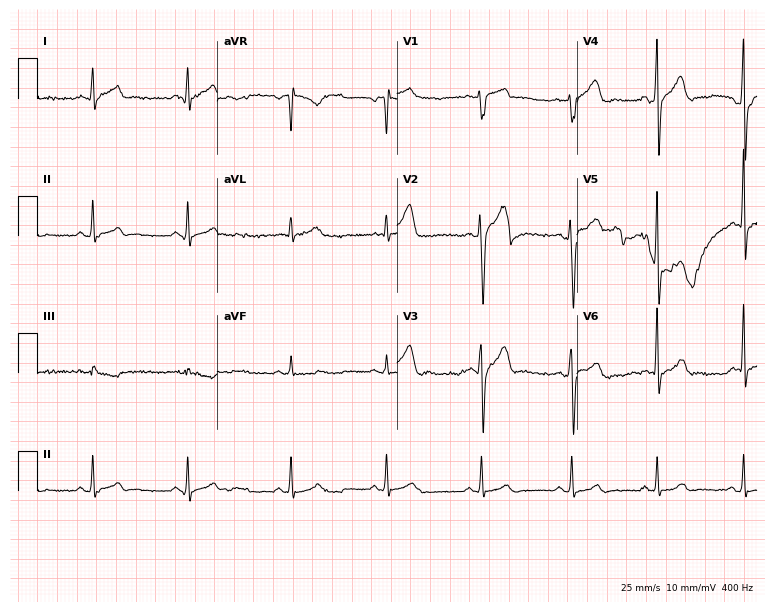
Resting 12-lead electrocardiogram (7.3-second recording at 400 Hz). Patient: a 26-year-old male. Read as a normal ECG.